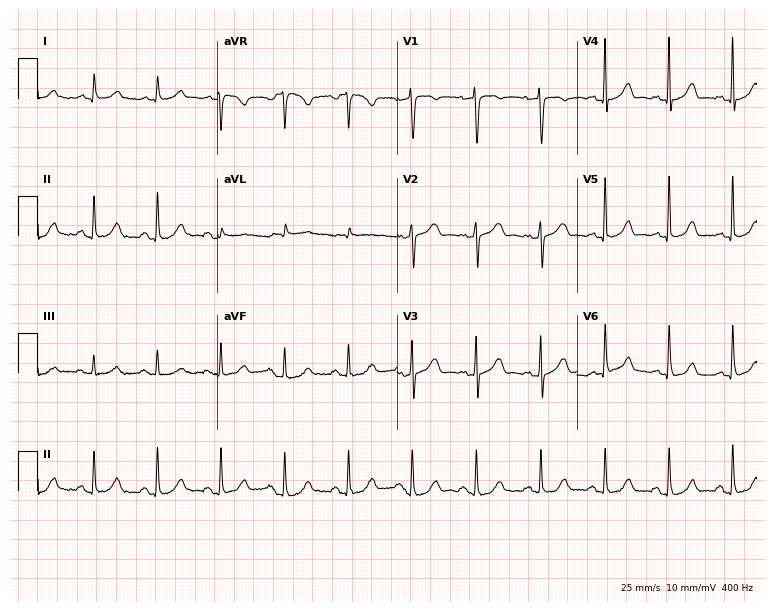
12-lead ECG from an 80-year-old woman. Screened for six findings — first-degree AV block, right bundle branch block, left bundle branch block, sinus bradycardia, atrial fibrillation, sinus tachycardia — none is recorded. Only these six findings were labelled.